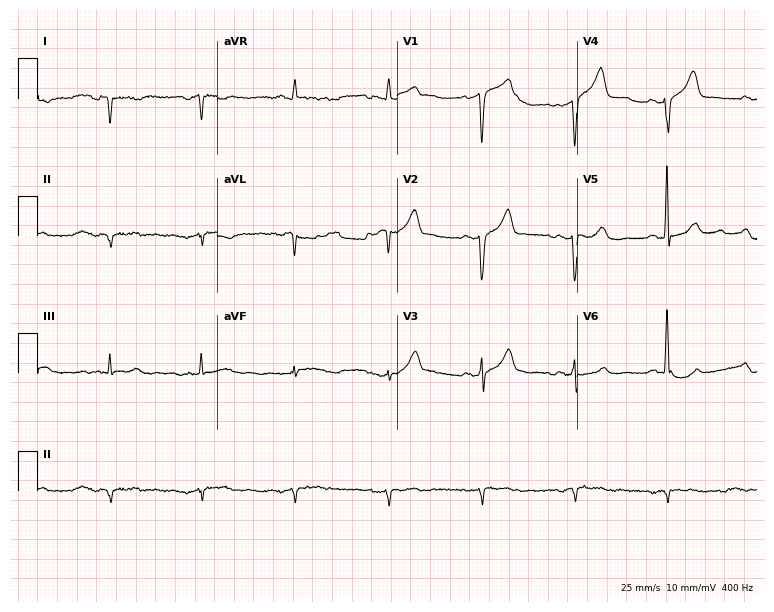
12-lead ECG from a 66-year-old male. No first-degree AV block, right bundle branch block, left bundle branch block, sinus bradycardia, atrial fibrillation or sinus tachycardia recorded for this tracing. Findings outside these six are not listed.